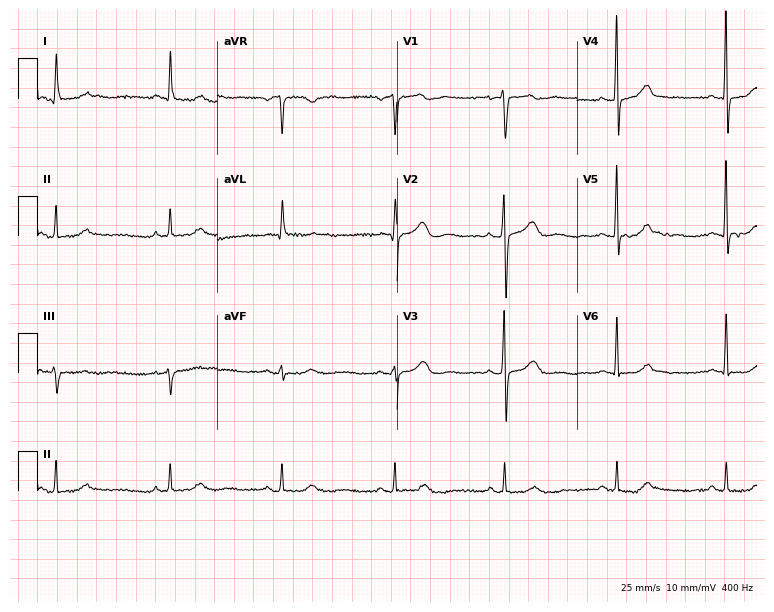
Electrocardiogram (7.3-second recording at 400 Hz), a woman, 68 years old. Overall reading on record: normal ECG.